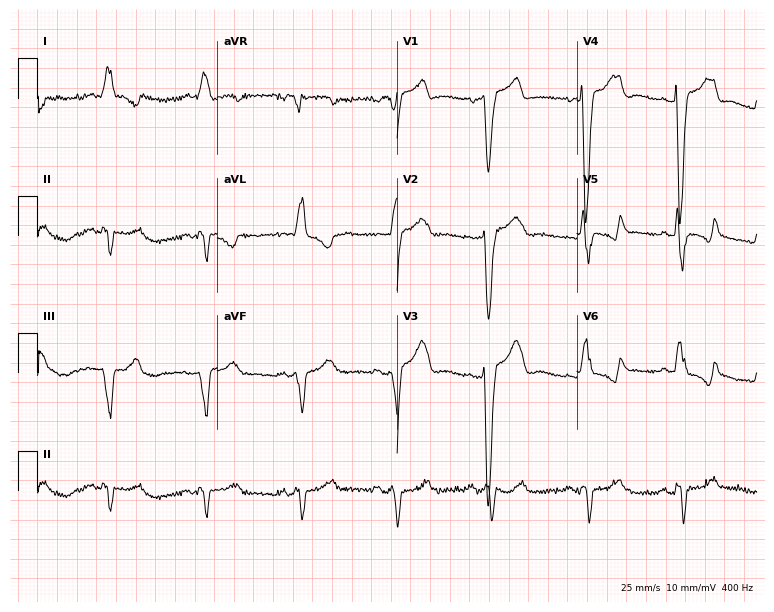
Electrocardiogram (7.3-second recording at 400 Hz), a female, 74 years old. Interpretation includes left bundle branch block.